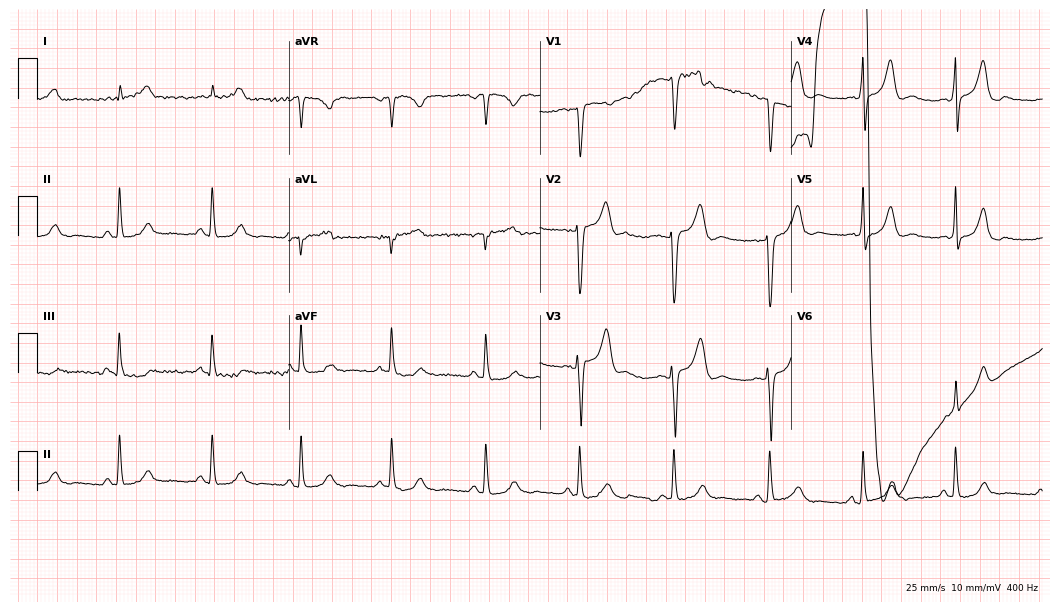
ECG — a 53-year-old man. Screened for six findings — first-degree AV block, right bundle branch block, left bundle branch block, sinus bradycardia, atrial fibrillation, sinus tachycardia — none is recorded.